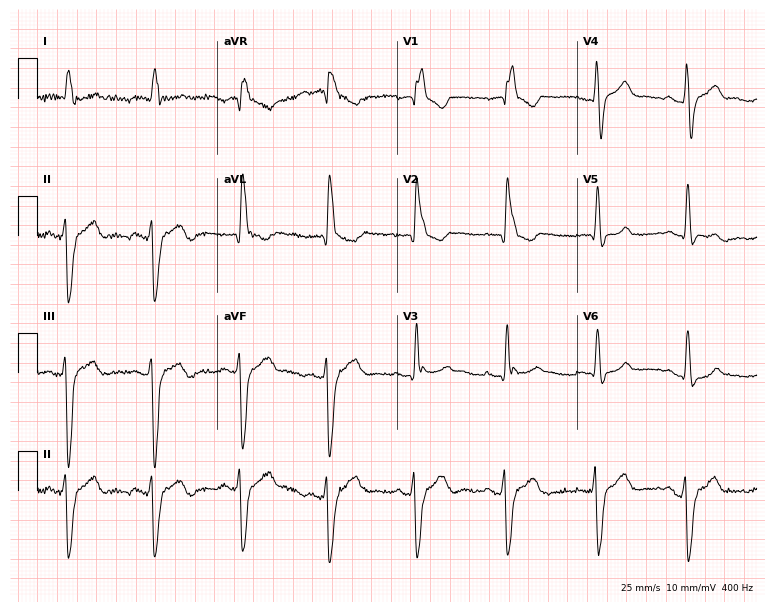
ECG — a male, 76 years old. Findings include right bundle branch block (RBBB).